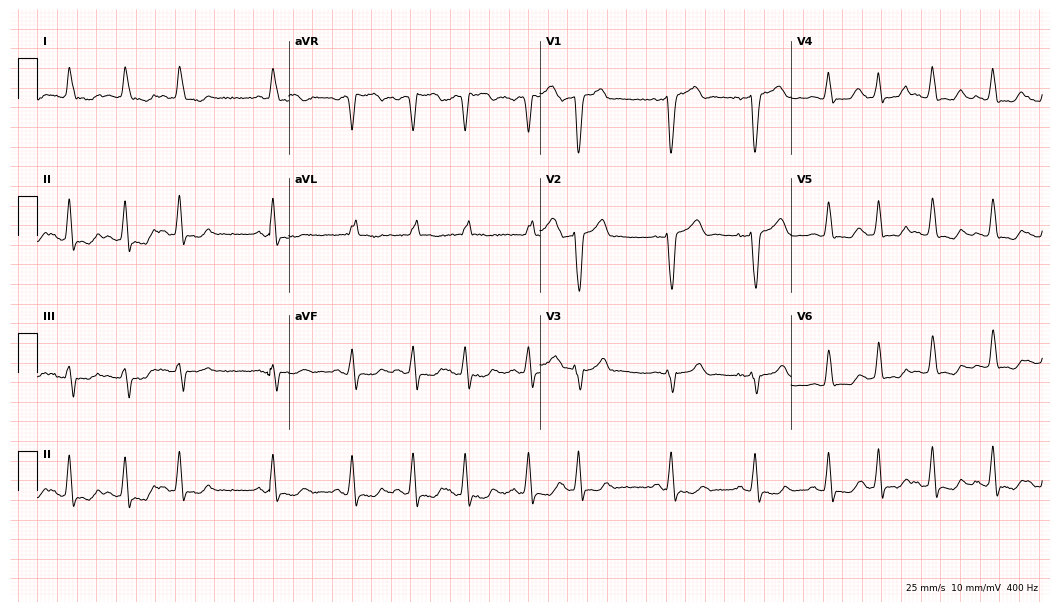
12-lead ECG from a female patient, 83 years old. Shows left bundle branch block, atrial fibrillation.